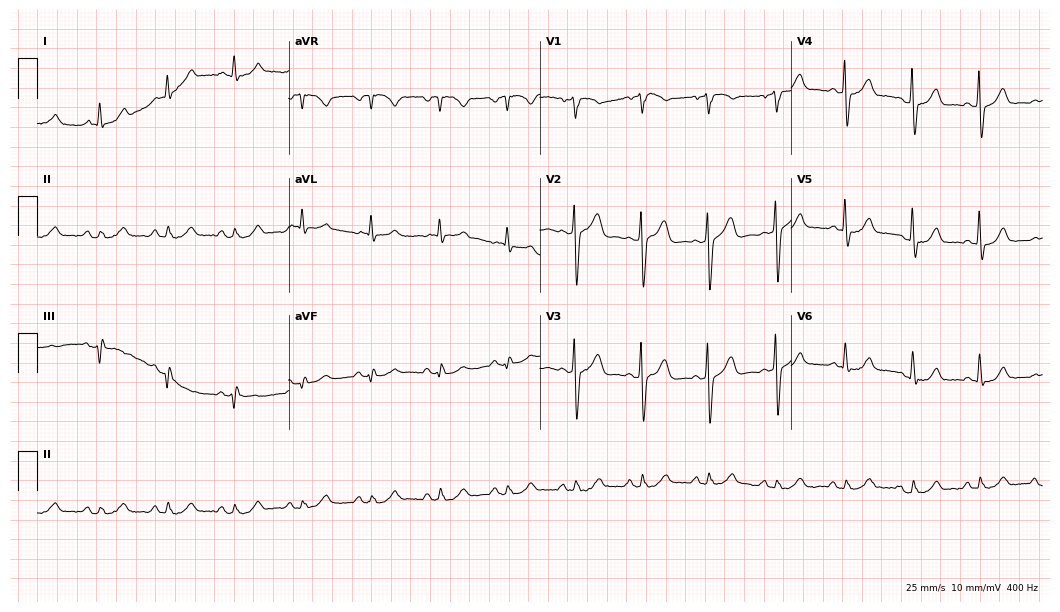
Standard 12-lead ECG recorded from a 66-year-old male (10.2-second recording at 400 Hz). Read as a normal ECG.